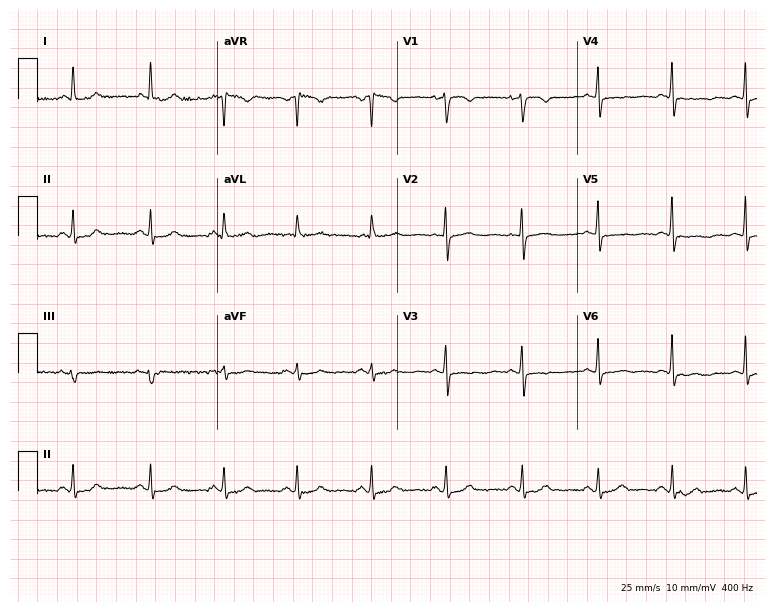
Electrocardiogram (7.3-second recording at 400 Hz), a female patient, 67 years old. Of the six screened findings (first-degree AV block, right bundle branch block, left bundle branch block, sinus bradycardia, atrial fibrillation, sinus tachycardia), none is recorded.